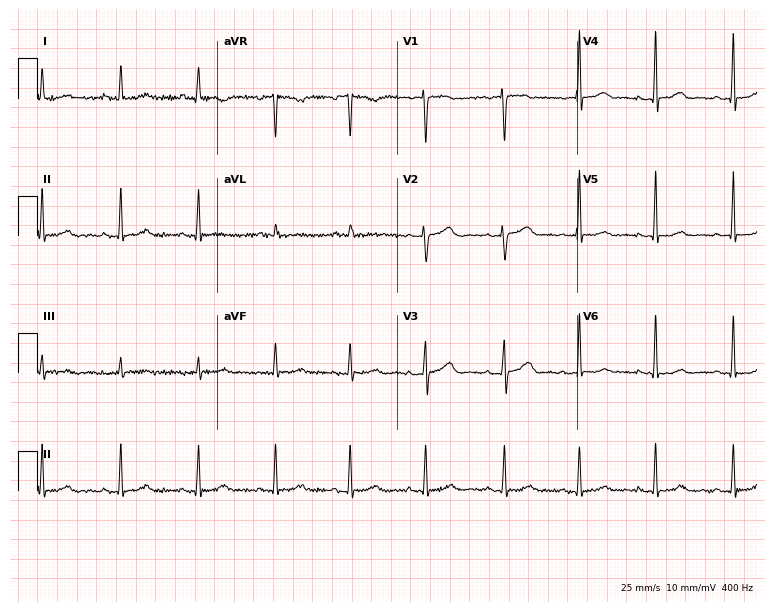
12-lead ECG from a female, 49 years old (7.3-second recording at 400 Hz). No first-degree AV block, right bundle branch block, left bundle branch block, sinus bradycardia, atrial fibrillation or sinus tachycardia recorded for this tracing. Findings outside these six are not listed.